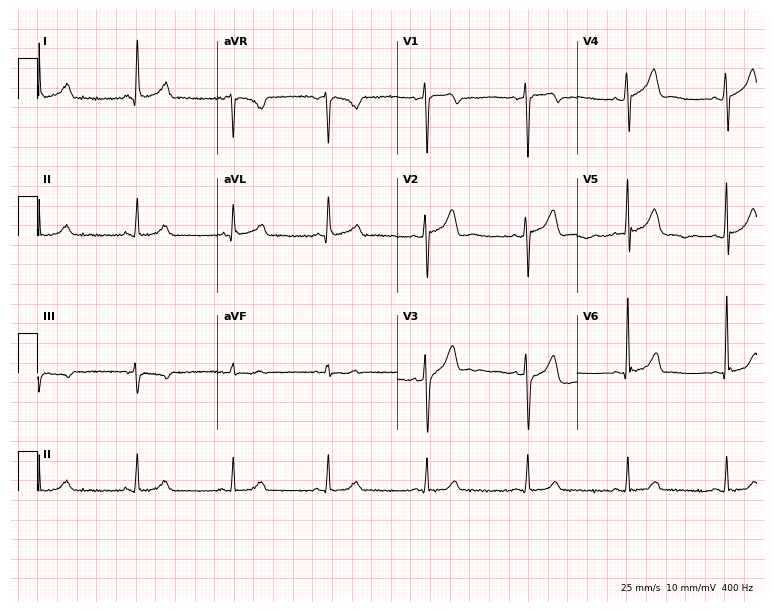
ECG (7.3-second recording at 400 Hz) — a 42-year-old man. Labelled as a normal ECG.